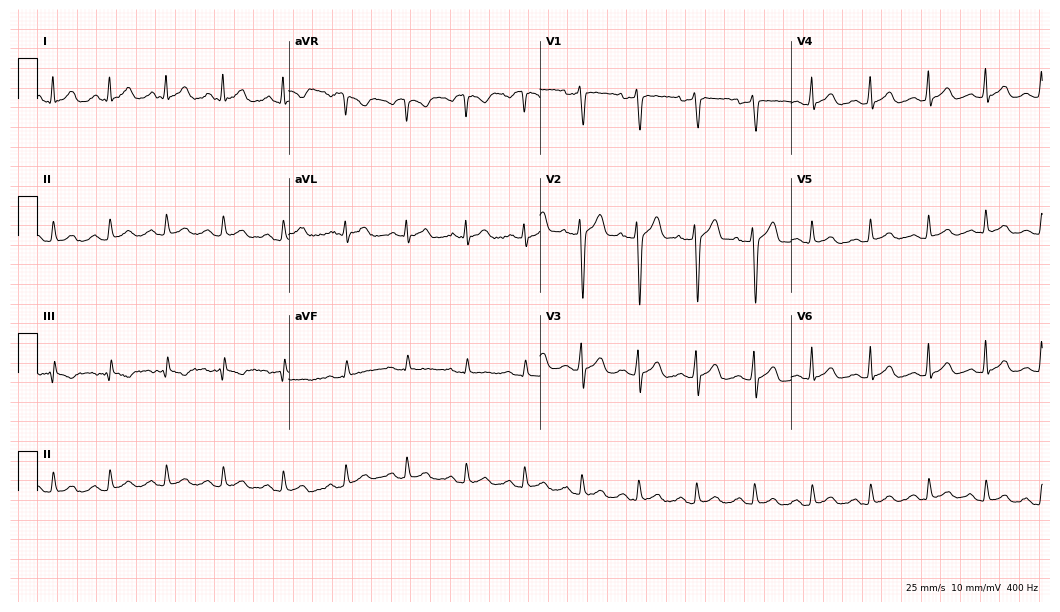
Electrocardiogram (10.2-second recording at 400 Hz), a 27-year-old male patient. Interpretation includes sinus tachycardia (a sinus rate of 100 beats per minute or more).